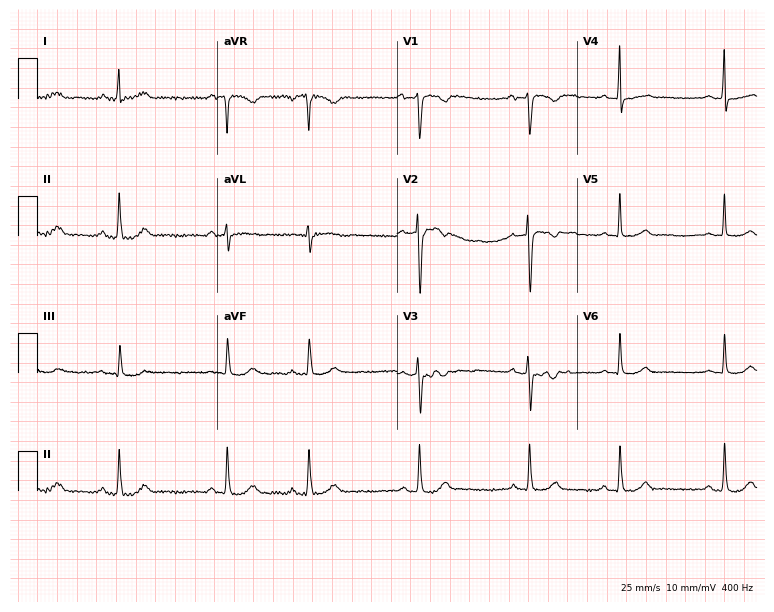
ECG — a 23-year-old female. Screened for six findings — first-degree AV block, right bundle branch block, left bundle branch block, sinus bradycardia, atrial fibrillation, sinus tachycardia — none is recorded.